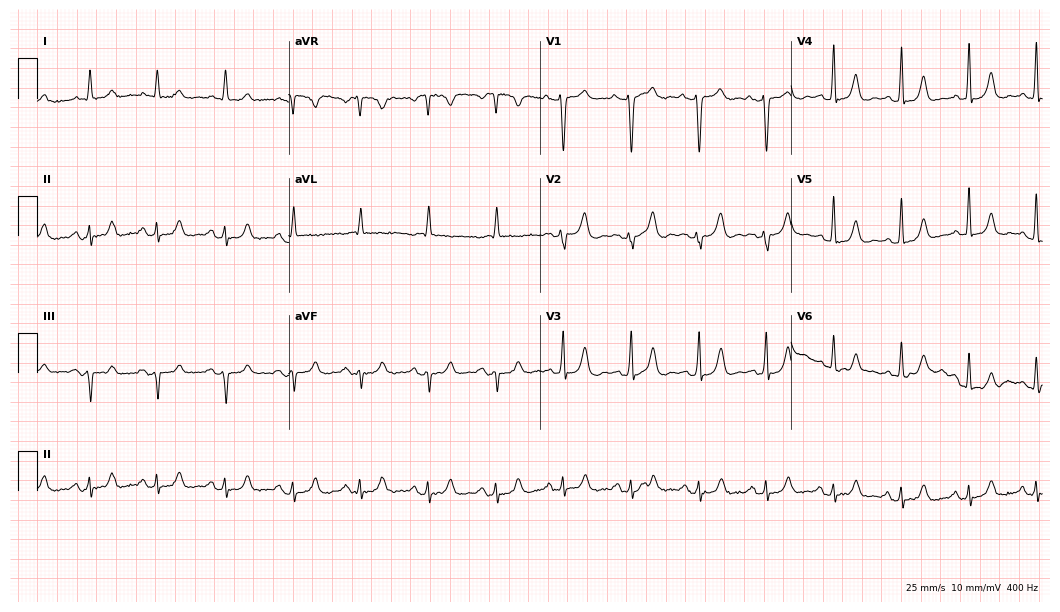
Electrocardiogram (10.2-second recording at 400 Hz), a woman, 76 years old. Of the six screened findings (first-degree AV block, right bundle branch block (RBBB), left bundle branch block (LBBB), sinus bradycardia, atrial fibrillation (AF), sinus tachycardia), none is recorded. Findings outside these six are not listed.